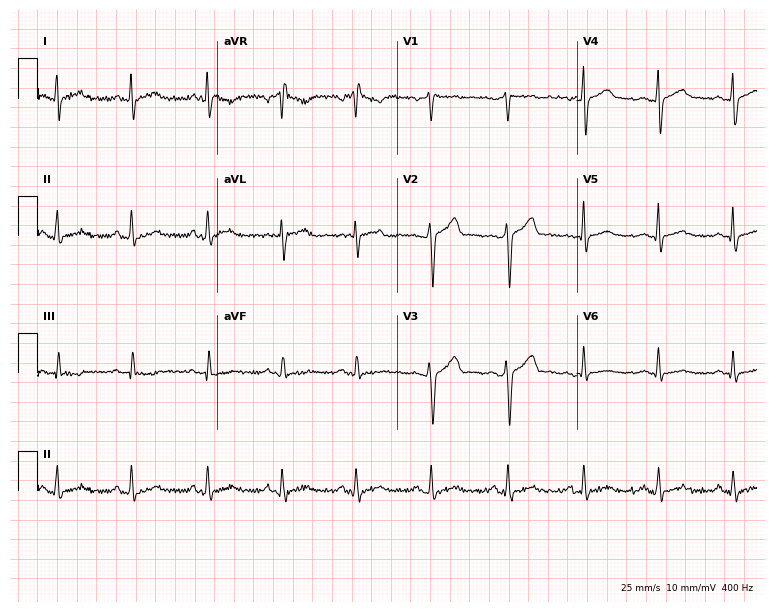
12-lead ECG (7.3-second recording at 400 Hz) from a 38-year-old male. Labelled as a normal ECG.